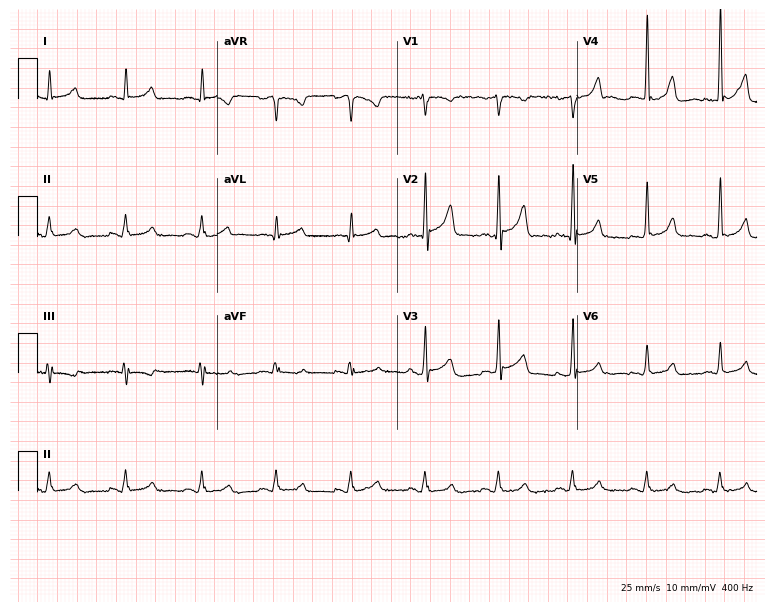
ECG (7.3-second recording at 400 Hz) — a man, 48 years old. Screened for six findings — first-degree AV block, right bundle branch block (RBBB), left bundle branch block (LBBB), sinus bradycardia, atrial fibrillation (AF), sinus tachycardia — none is recorded. Other findings, if any, are not listed.